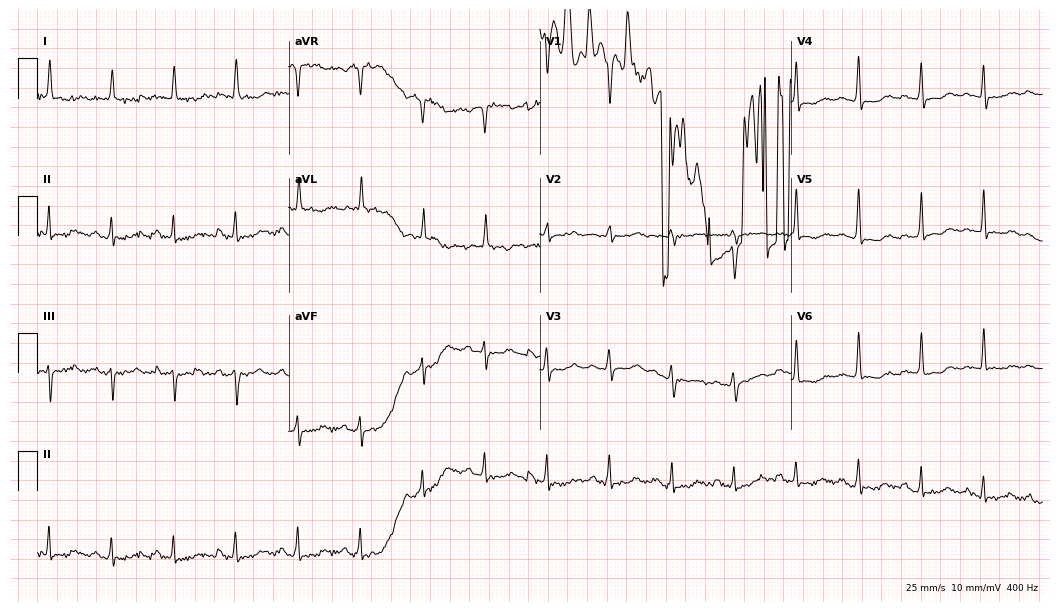
ECG (10.2-second recording at 400 Hz) — a 75-year-old female. Screened for six findings — first-degree AV block, right bundle branch block (RBBB), left bundle branch block (LBBB), sinus bradycardia, atrial fibrillation (AF), sinus tachycardia — none is recorded.